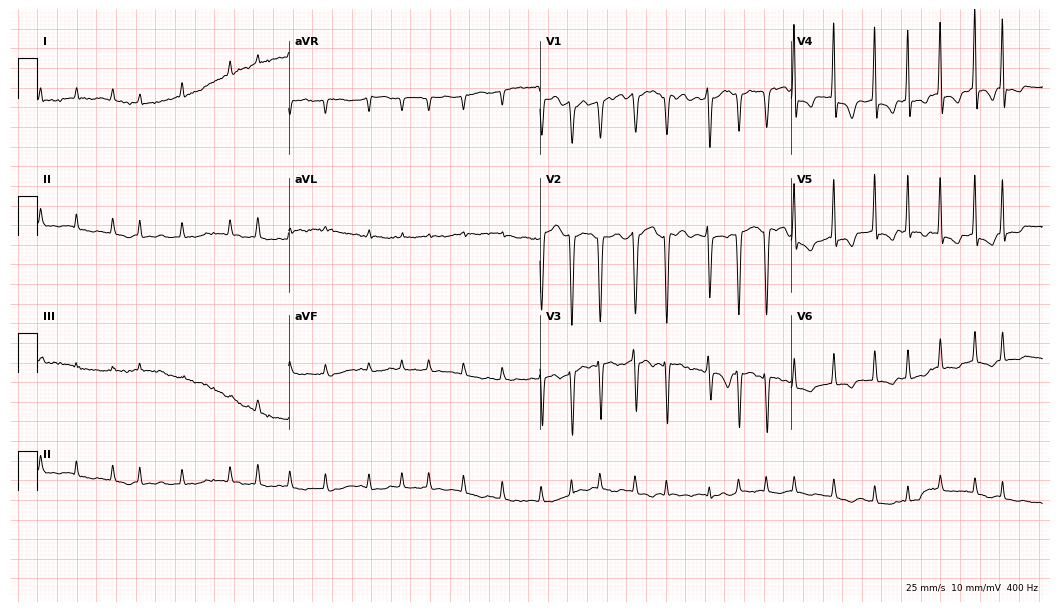
Electrocardiogram (10.2-second recording at 400 Hz), a female patient, 81 years old. Interpretation includes atrial fibrillation.